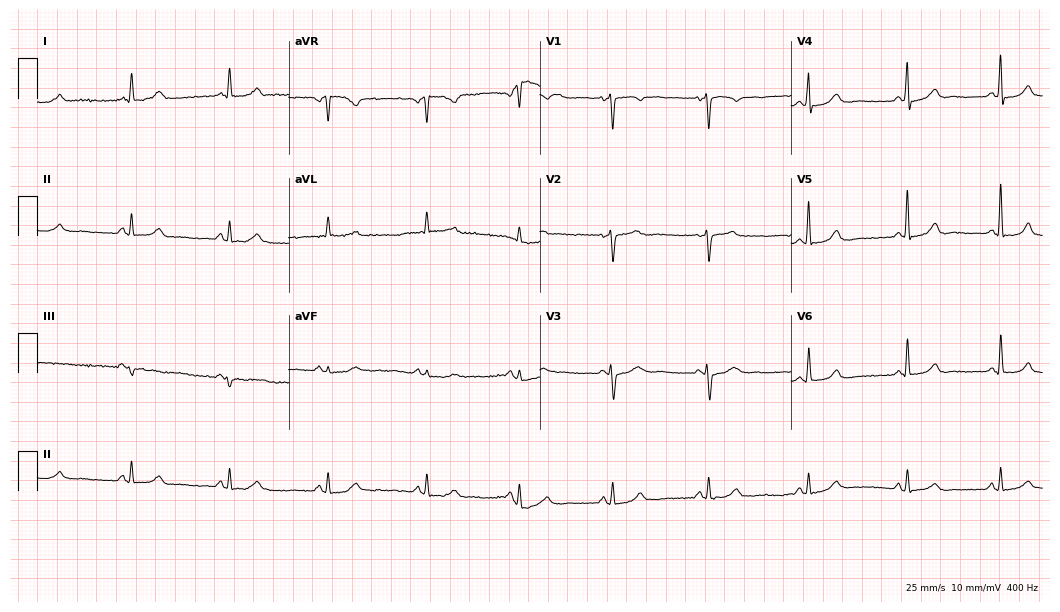
ECG (10.2-second recording at 400 Hz) — a 46-year-old female patient. Screened for six findings — first-degree AV block, right bundle branch block, left bundle branch block, sinus bradycardia, atrial fibrillation, sinus tachycardia — none is recorded. Other findings, if any, are not listed.